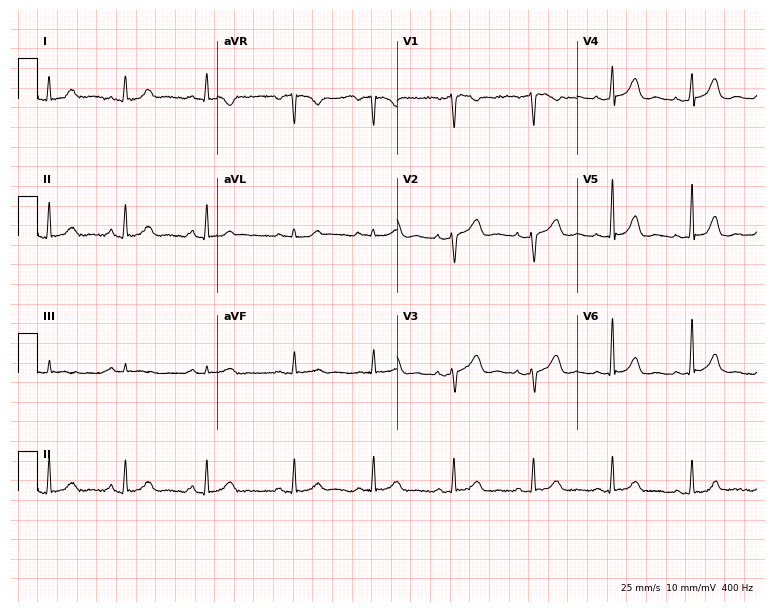
12-lead ECG from a woman, 50 years old. No first-degree AV block, right bundle branch block, left bundle branch block, sinus bradycardia, atrial fibrillation or sinus tachycardia recorded for this tracing. Findings outside these six are not listed.